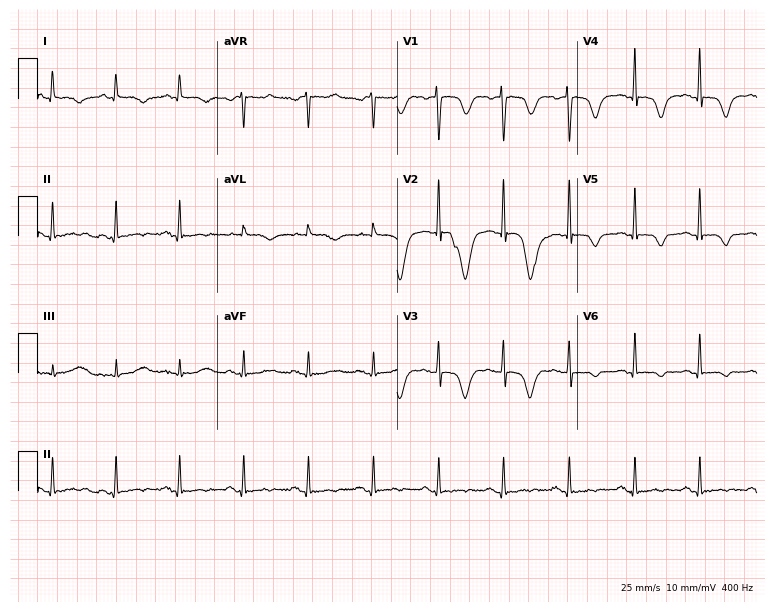
Standard 12-lead ECG recorded from a woman, 80 years old. None of these six findings is recorded: first-degree AV block, right bundle branch block, left bundle branch block, sinus bradycardia, atrial fibrillation, sinus tachycardia. Findings outside these six are not listed.